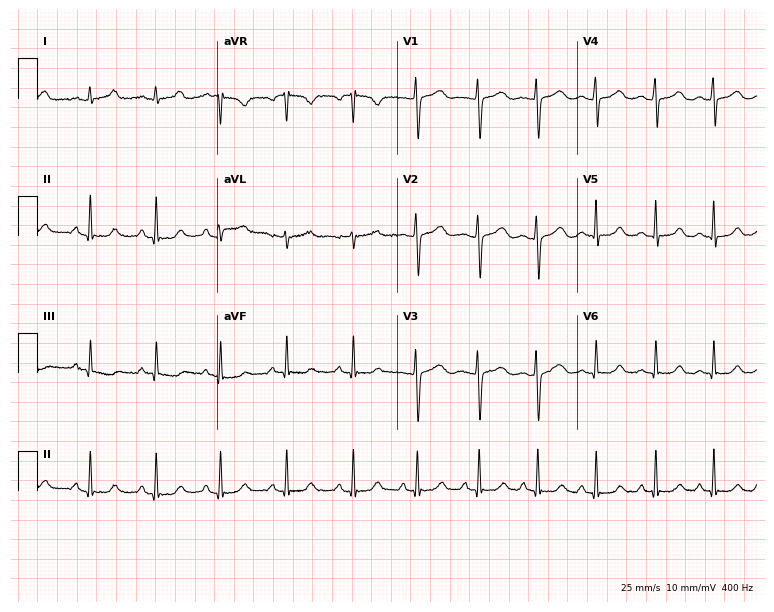
12-lead ECG (7.3-second recording at 400 Hz) from a female, 20 years old. Labelled as a normal ECG.